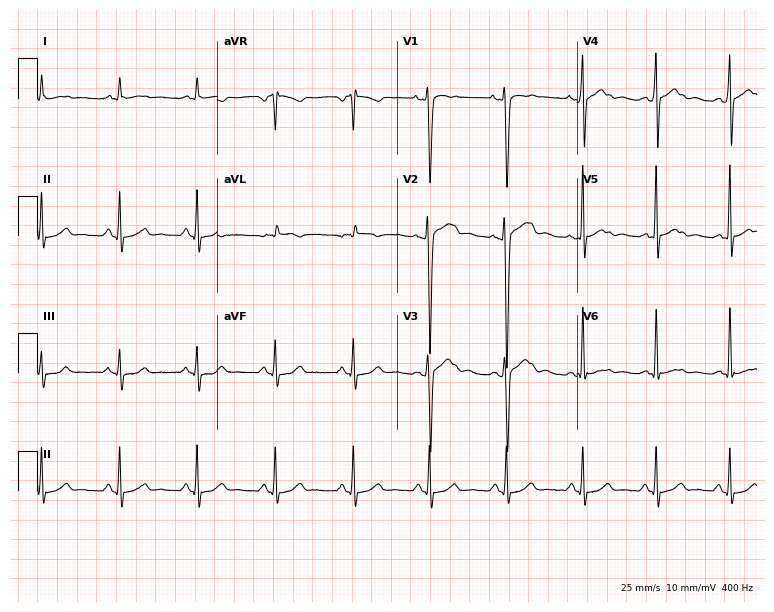
ECG (7.3-second recording at 400 Hz) — a 35-year-old man. Screened for six findings — first-degree AV block, right bundle branch block (RBBB), left bundle branch block (LBBB), sinus bradycardia, atrial fibrillation (AF), sinus tachycardia — none is recorded.